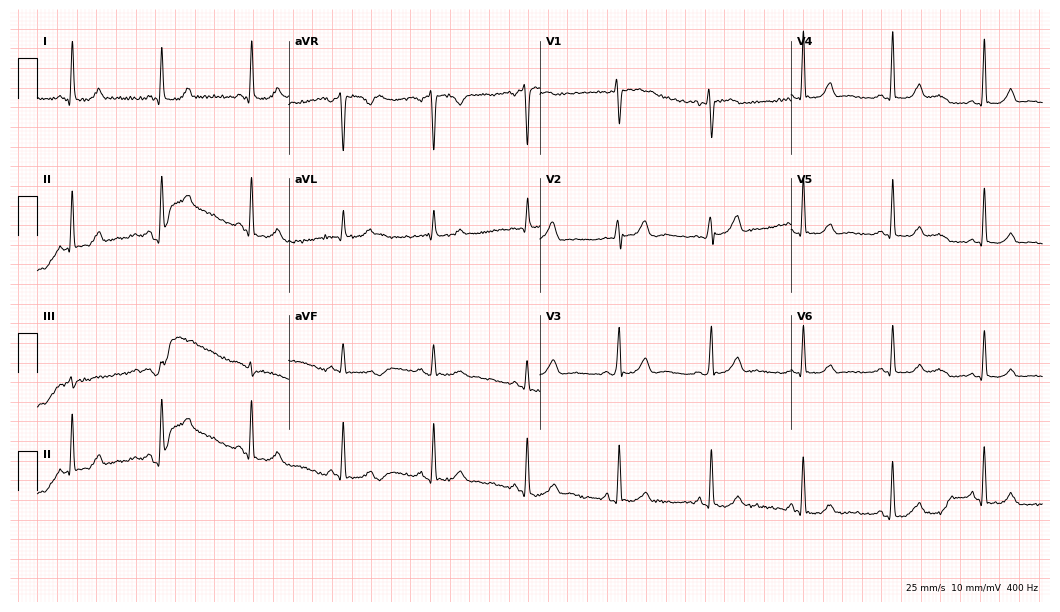
ECG (10.2-second recording at 400 Hz) — a 53-year-old female patient. Labelled as a normal ECG.